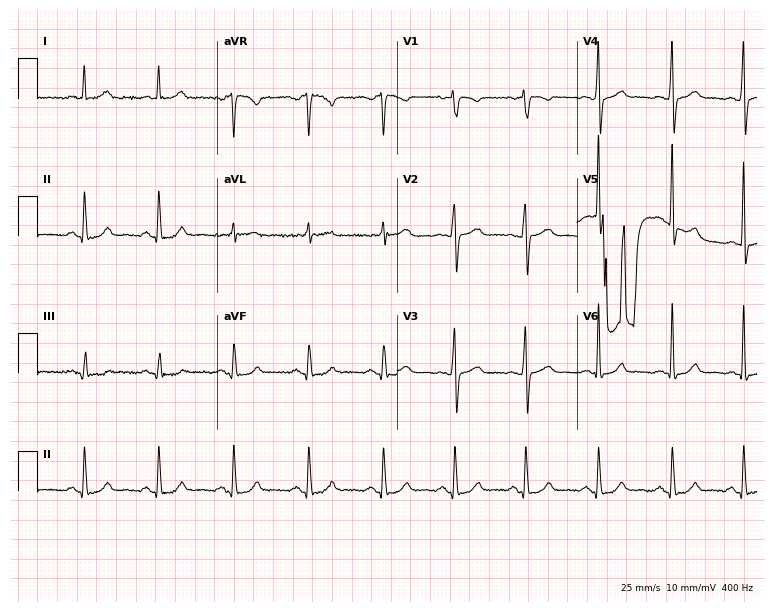
12-lead ECG from a female patient, 43 years old. Labelled as a normal ECG.